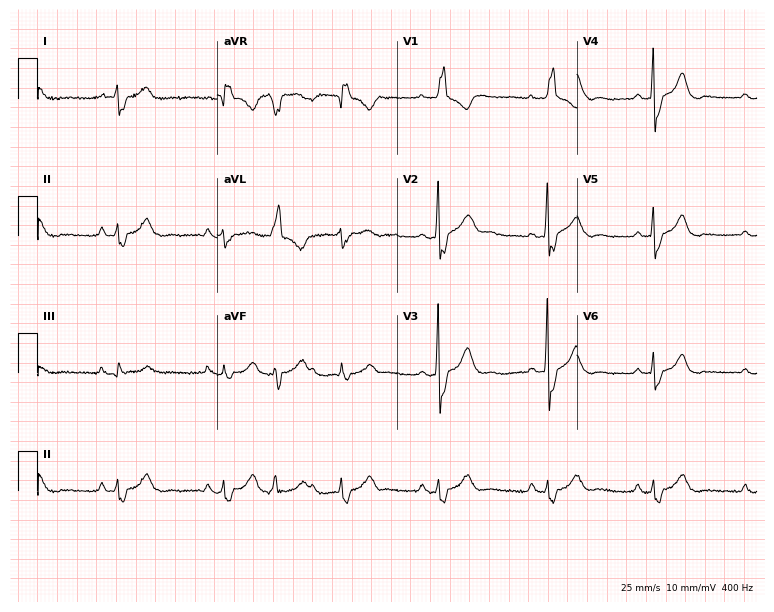
Electrocardiogram, a male, 73 years old. Interpretation includes right bundle branch block (RBBB).